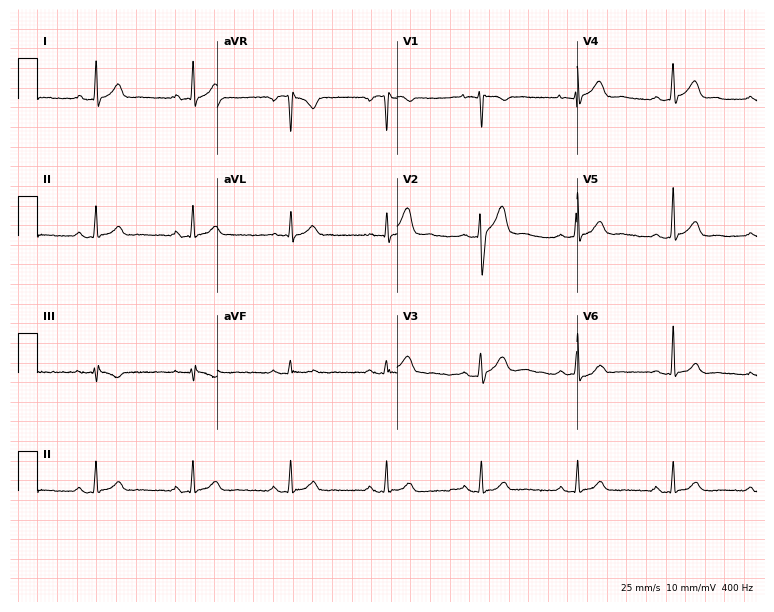
12-lead ECG from a 28-year-old man. Screened for six findings — first-degree AV block, right bundle branch block (RBBB), left bundle branch block (LBBB), sinus bradycardia, atrial fibrillation (AF), sinus tachycardia — none is recorded.